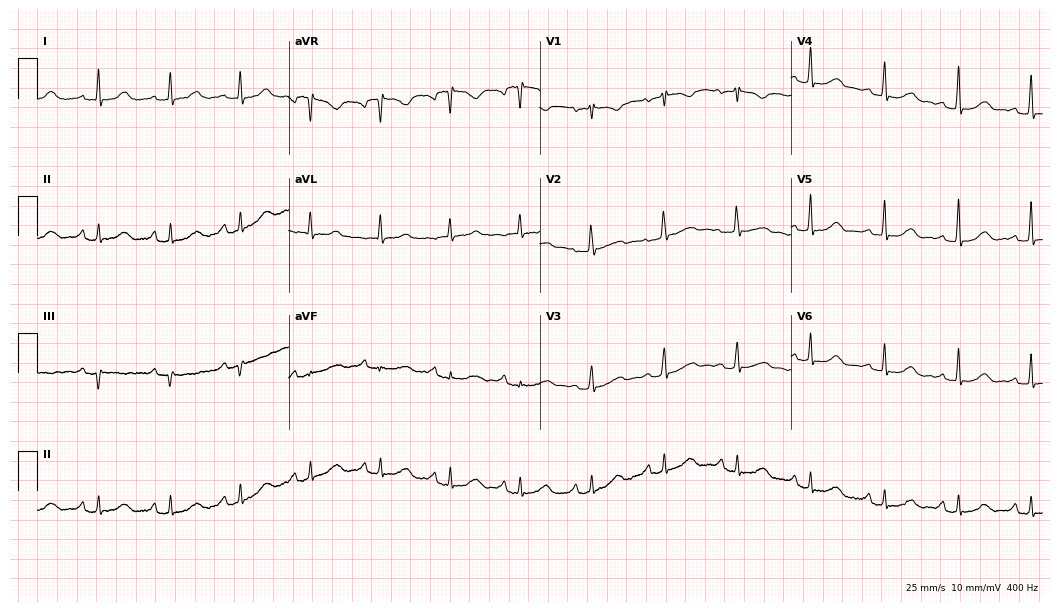
Electrocardiogram, a woman, 43 years old. Overall reading on record: normal ECG.